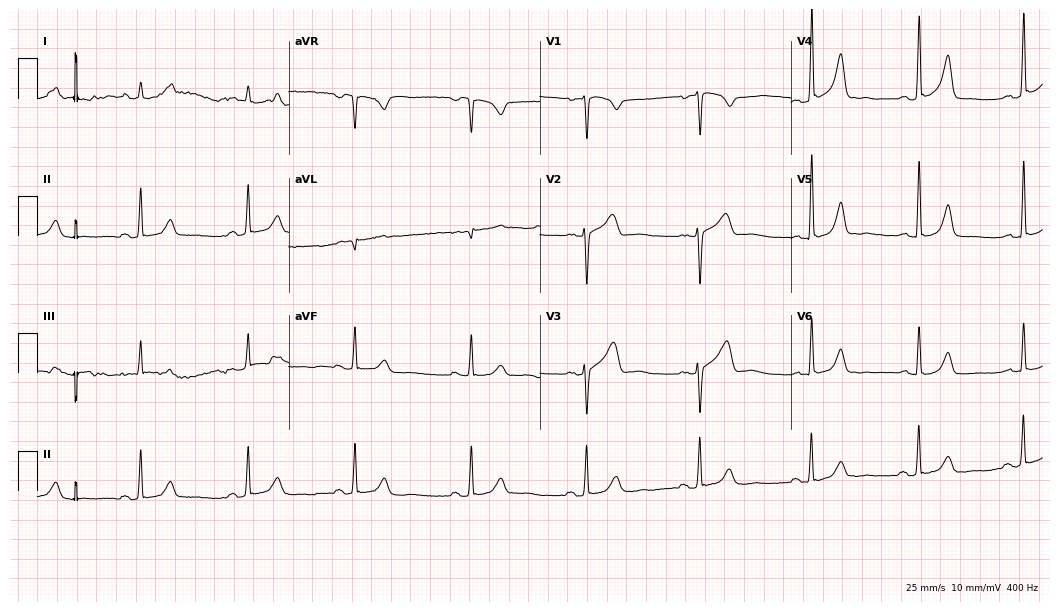
Resting 12-lead electrocardiogram. Patient: a 47-year-old female. None of these six findings is recorded: first-degree AV block, right bundle branch block, left bundle branch block, sinus bradycardia, atrial fibrillation, sinus tachycardia.